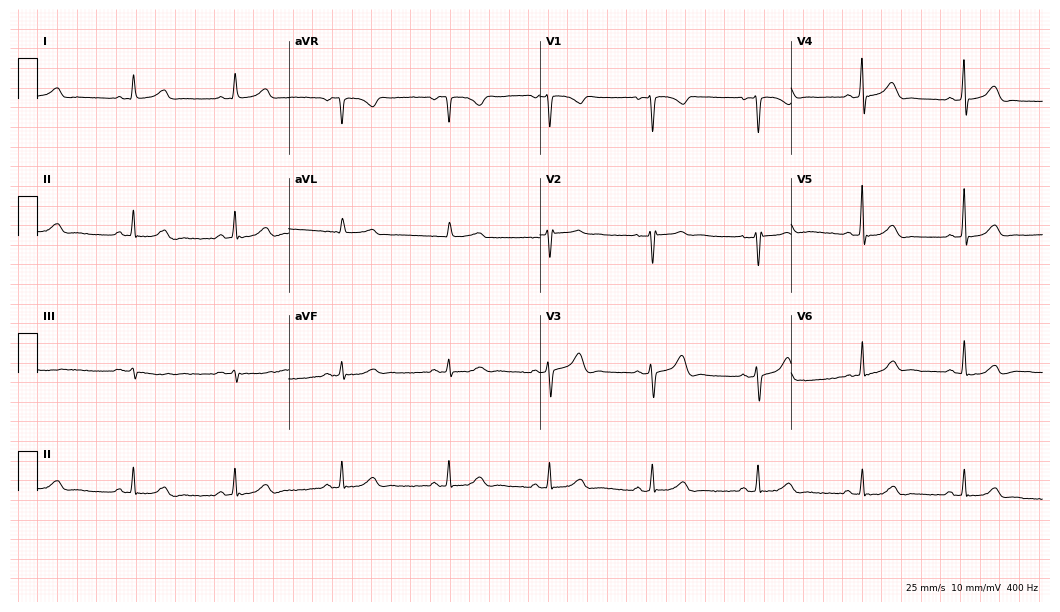
Resting 12-lead electrocardiogram. Patient: a woman, 39 years old. None of these six findings is recorded: first-degree AV block, right bundle branch block, left bundle branch block, sinus bradycardia, atrial fibrillation, sinus tachycardia. Other findings, if any, are not listed.